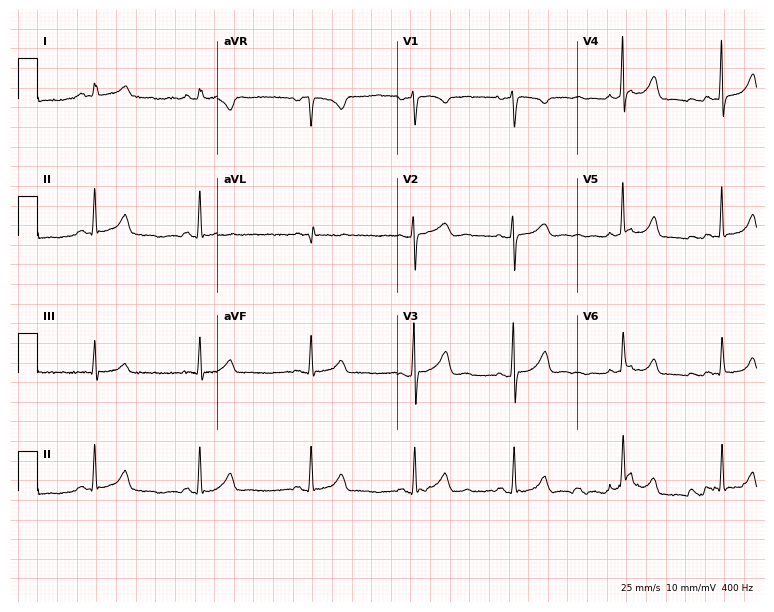
Standard 12-lead ECG recorded from a woman, 37 years old. Read as a normal ECG.